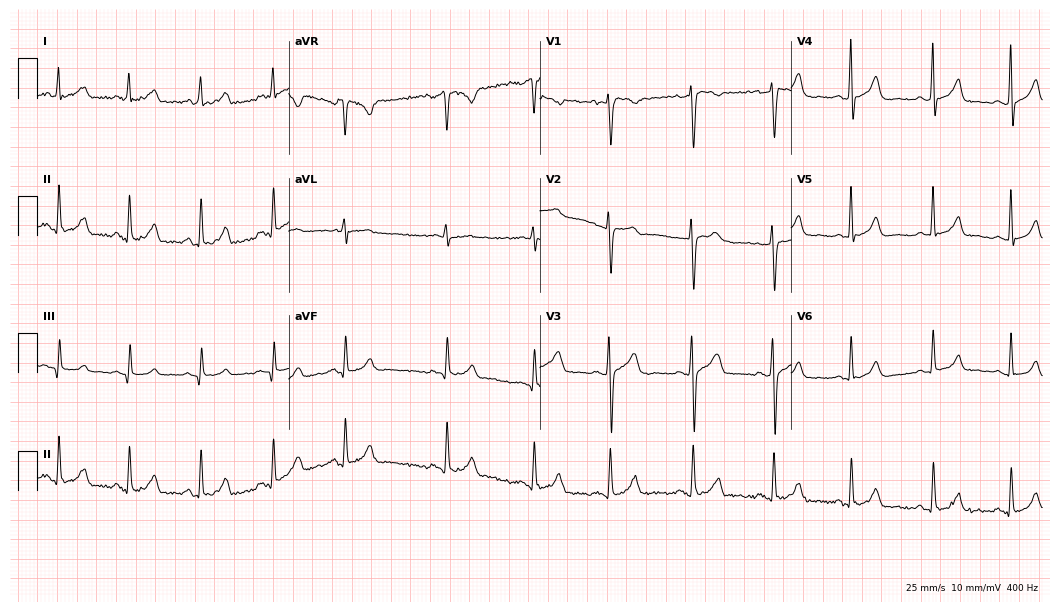
12-lead ECG from a female patient, 35 years old. Recorded interpretation: within normal limits.